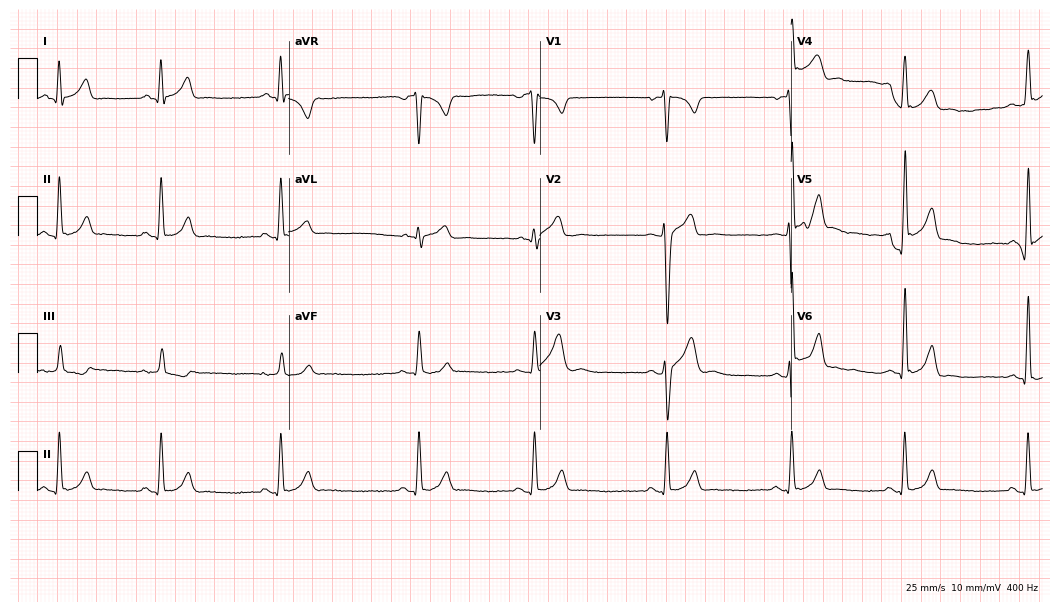
Resting 12-lead electrocardiogram (10.2-second recording at 400 Hz). Patient: a 25-year-old male. Read as a normal ECG.